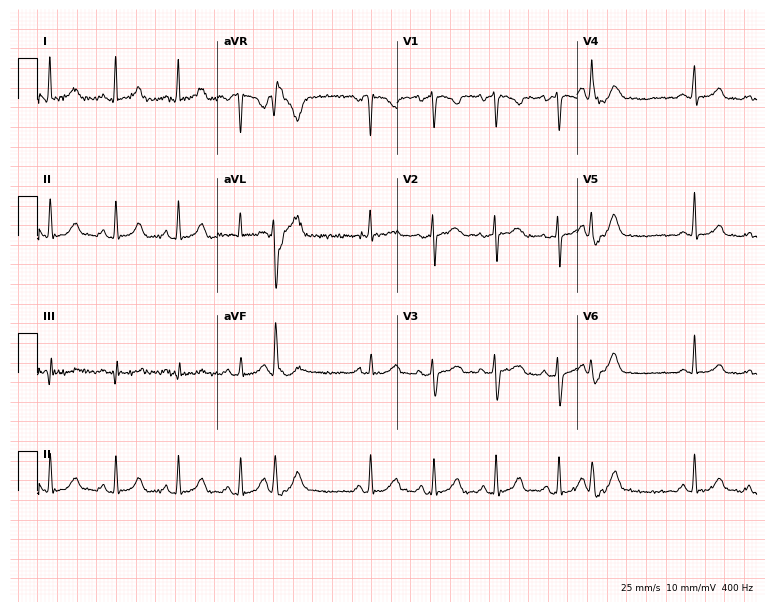
Standard 12-lead ECG recorded from a 21-year-old female. None of these six findings is recorded: first-degree AV block, right bundle branch block (RBBB), left bundle branch block (LBBB), sinus bradycardia, atrial fibrillation (AF), sinus tachycardia. Findings outside these six are not listed.